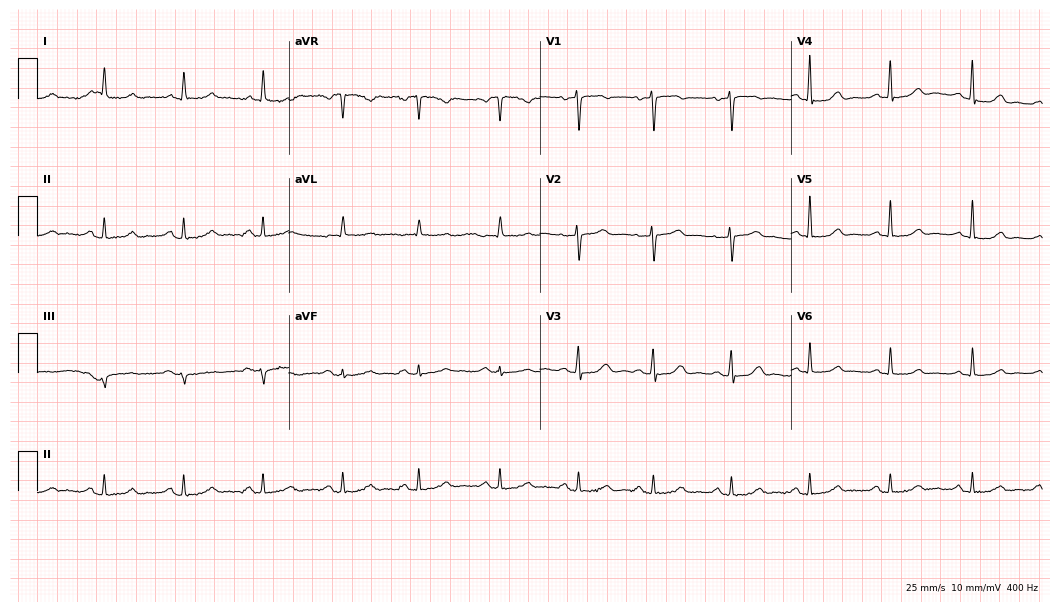
ECG (10.2-second recording at 400 Hz) — a female, 65 years old. Labelled as a normal ECG.